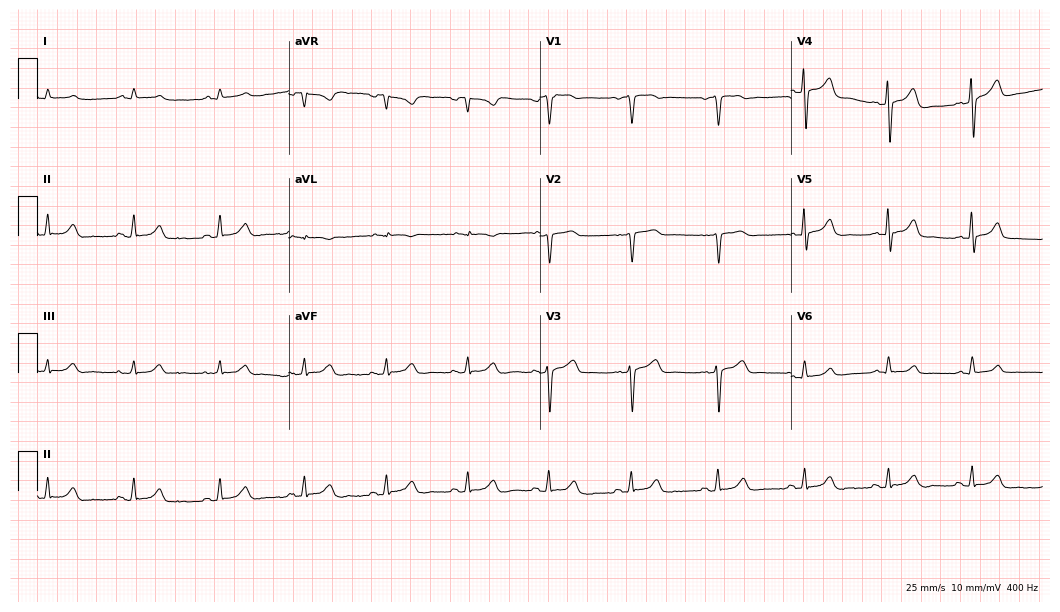
12-lead ECG (10.2-second recording at 400 Hz) from a male patient, 46 years old. Screened for six findings — first-degree AV block, right bundle branch block, left bundle branch block, sinus bradycardia, atrial fibrillation, sinus tachycardia — none is recorded. Other findings, if any, are not listed.